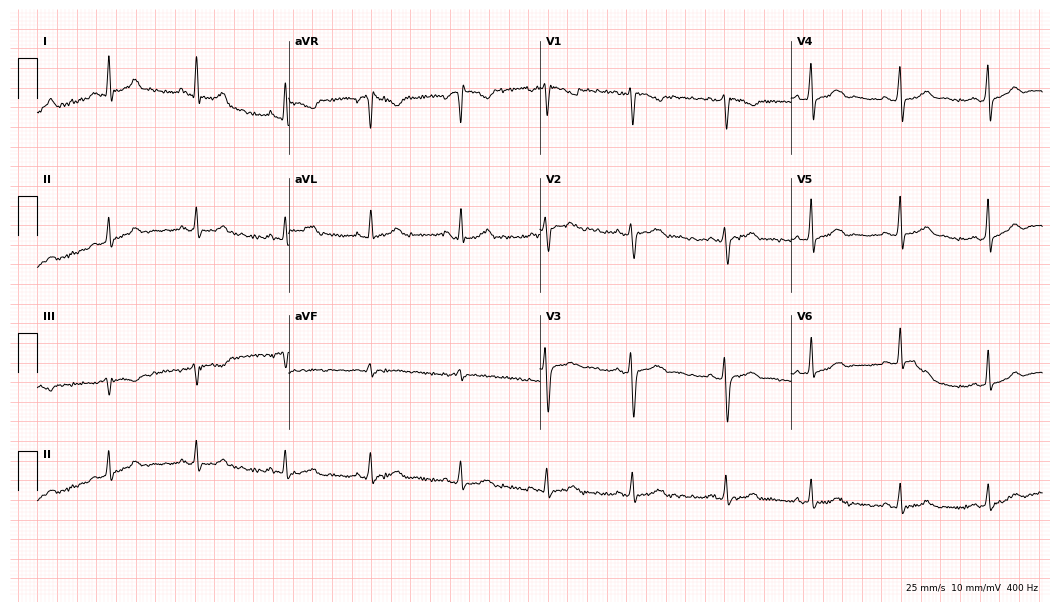
12-lead ECG from a female patient, 36 years old (10.2-second recording at 400 Hz). Recorded interpretation: within normal limits.